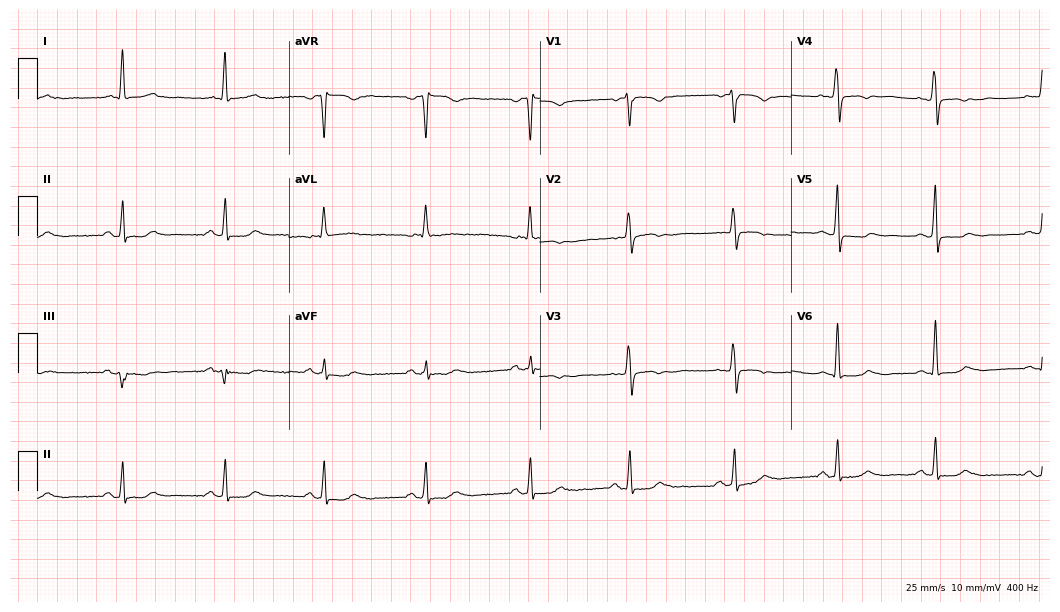
12-lead ECG from a female patient, 62 years old (10.2-second recording at 400 Hz). No first-degree AV block, right bundle branch block (RBBB), left bundle branch block (LBBB), sinus bradycardia, atrial fibrillation (AF) or sinus tachycardia recorded for this tracing. Only these six findings were labelled.